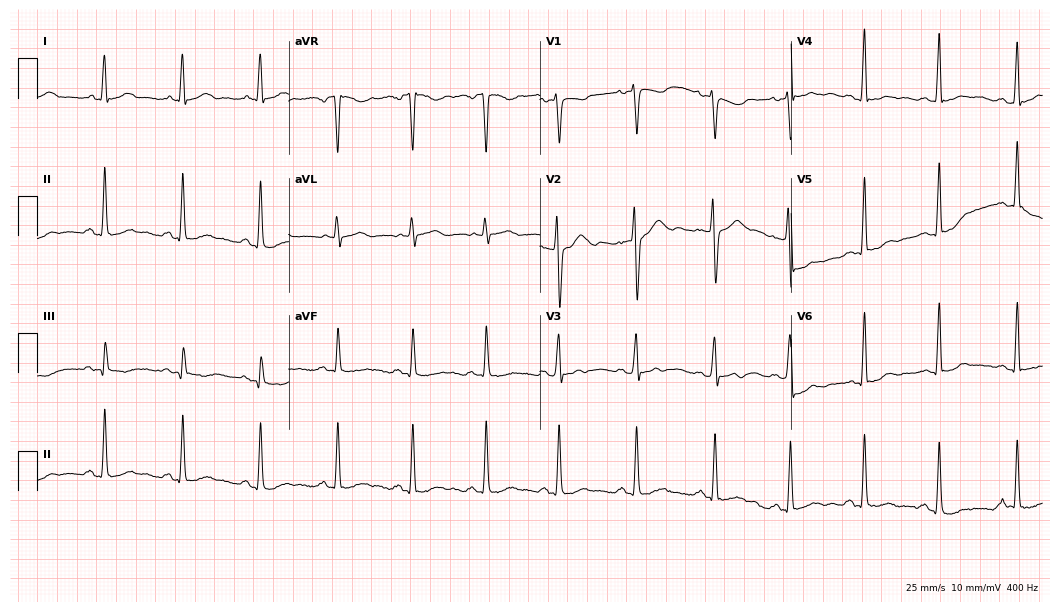
Electrocardiogram, a female, 25 years old. Overall reading on record: normal ECG.